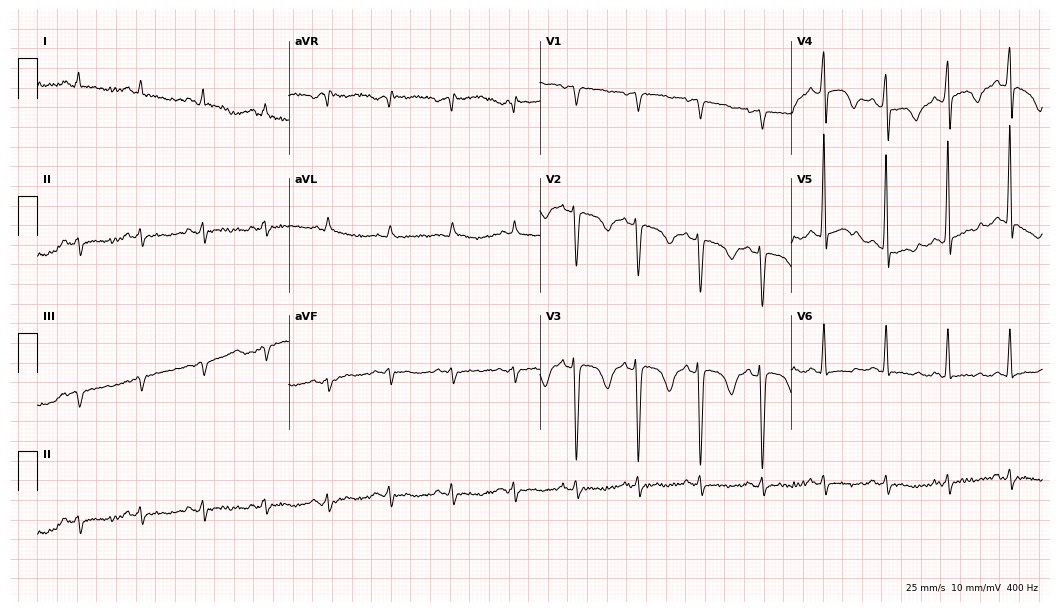
ECG (10.2-second recording at 400 Hz) — a 55-year-old female patient. Screened for six findings — first-degree AV block, right bundle branch block, left bundle branch block, sinus bradycardia, atrial fibrillation, sinus tachycardia — none is recorded. Other findings, if any, are not listed.